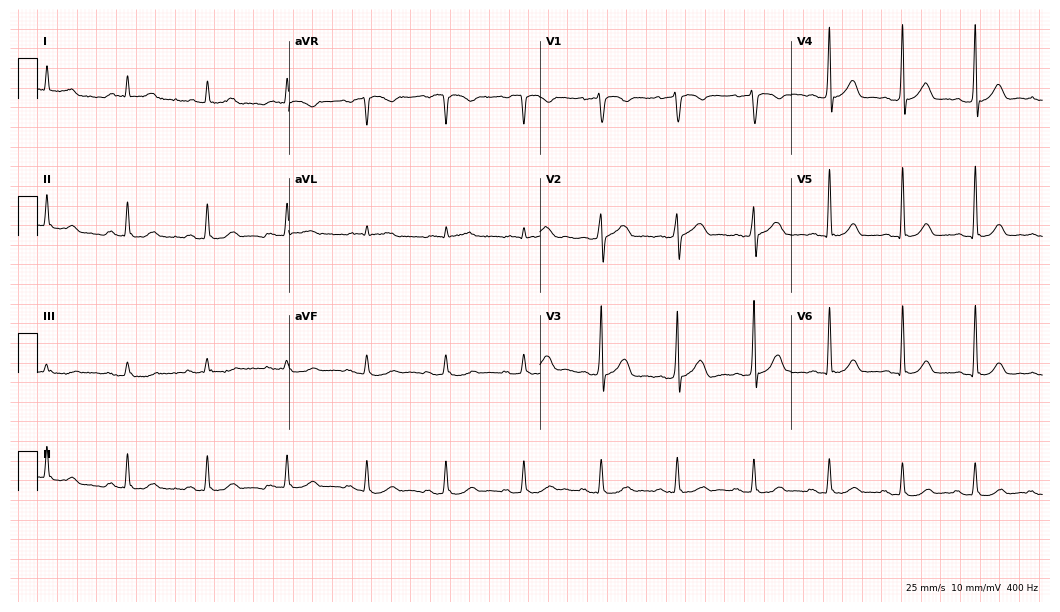
ECG (10.2-second recording at 400 Hz) — a male, 70 years old. Labelled as a normal ECG.